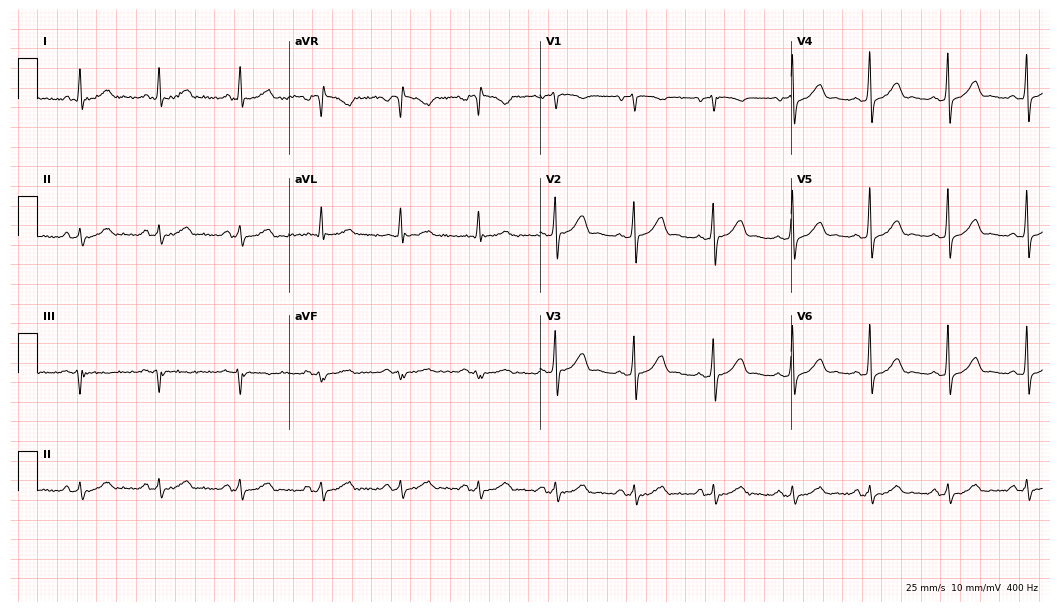
Standard 12-lead ECG recorded from a 48-year-old man (10.2-second recording at 400 Hz). Read as a normal ECG.